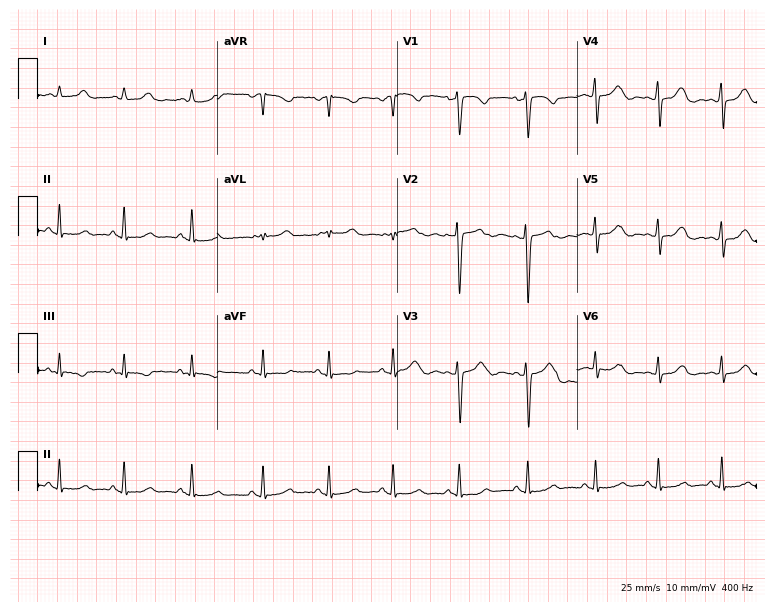
12-lead ECG from a woman, 18 years old. Screened for six findings — first-degree AV block, right bundle branch block, left bundle branch block, sinus bradycardia, atrial fibrillation, sinus tachycardia — none is recorded. Only these six findings were labelled.